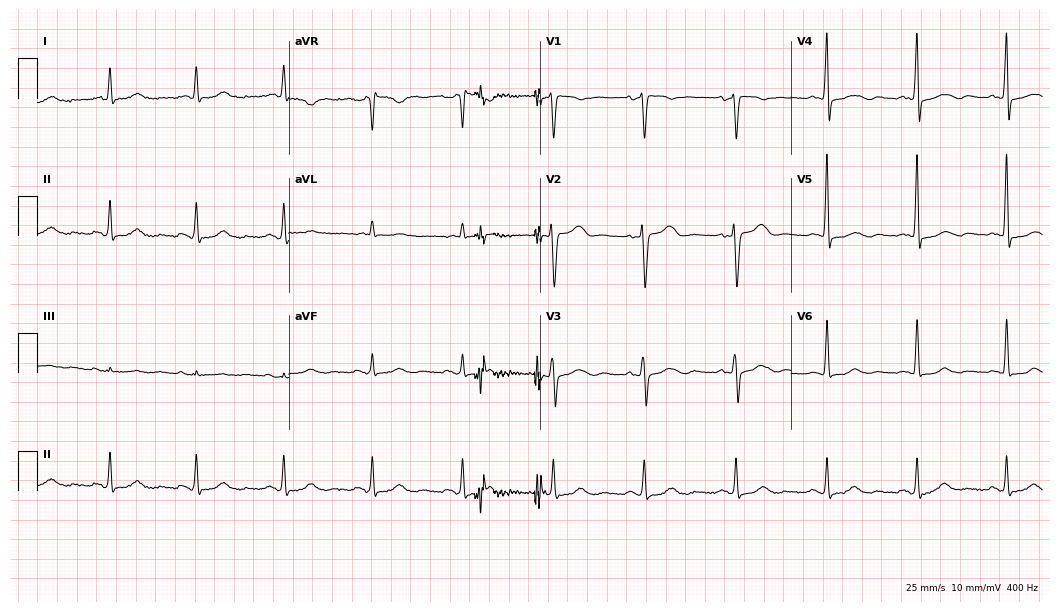
12-lead ECG from a 67-year-old woman. Labelled as a normal ECG.